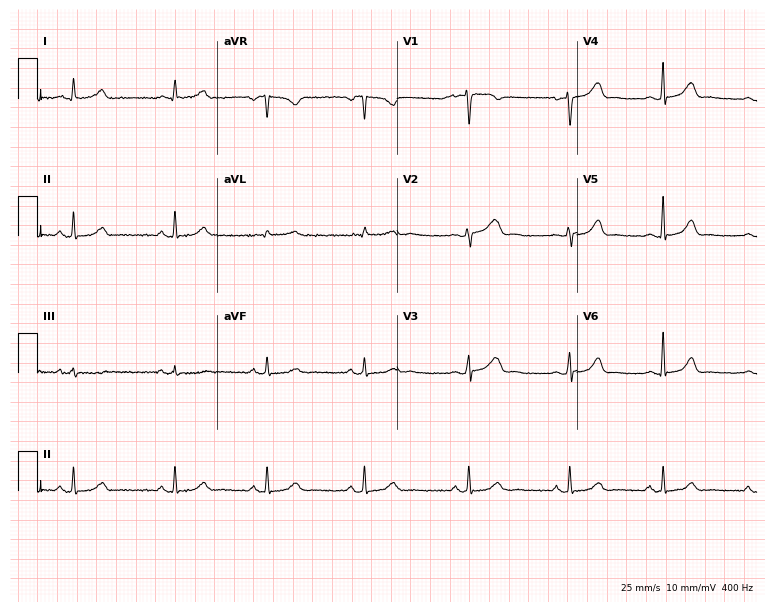
12-lead ECG (7.3-second recording at 400 Hz) from a woman, 45 years old. Screened for six findings — first-degree AV block, right bundle branch block, left bundle branch block, sinus bradycardia, atrial fibrillation, sinus tachycardia — none is recorded.